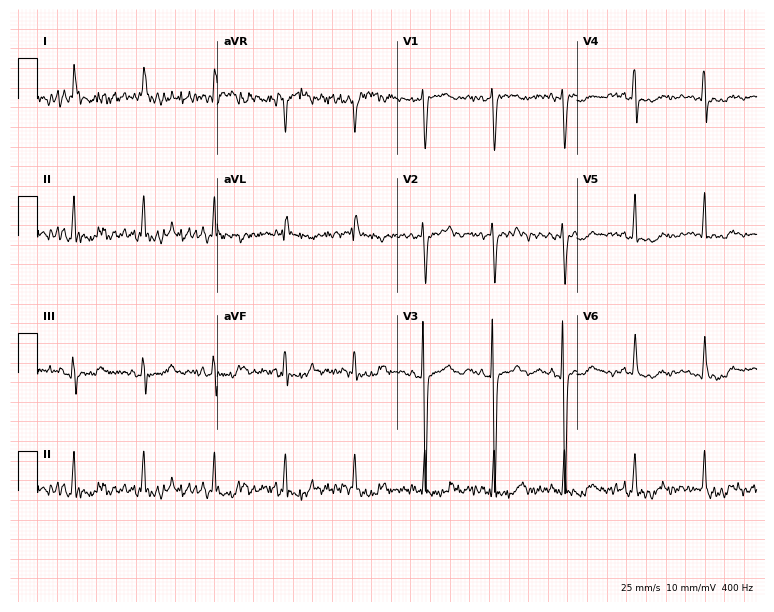
ECG — a female, 54 years old. Screened for six findings — first-degree AV block, right bundle branch block, left bundle branch block, sinus bradycardia, atrial fibrillation, sinus tachycardia — none is recorded. Findings outside these six are not listed.